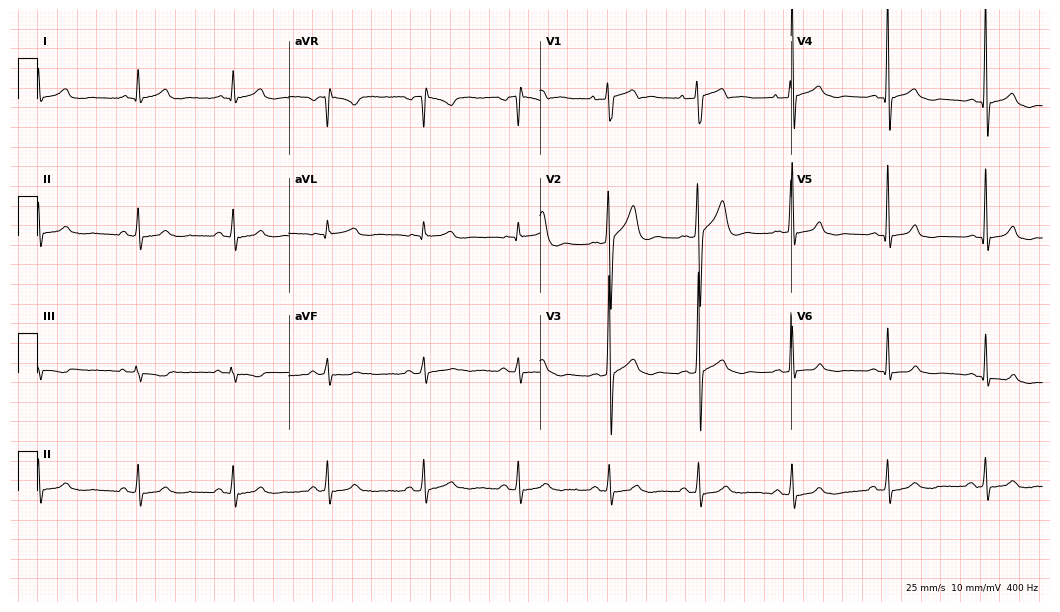
Standard 12-lead ECG recorded from a 34-year-old male. Read as a normal ECG.